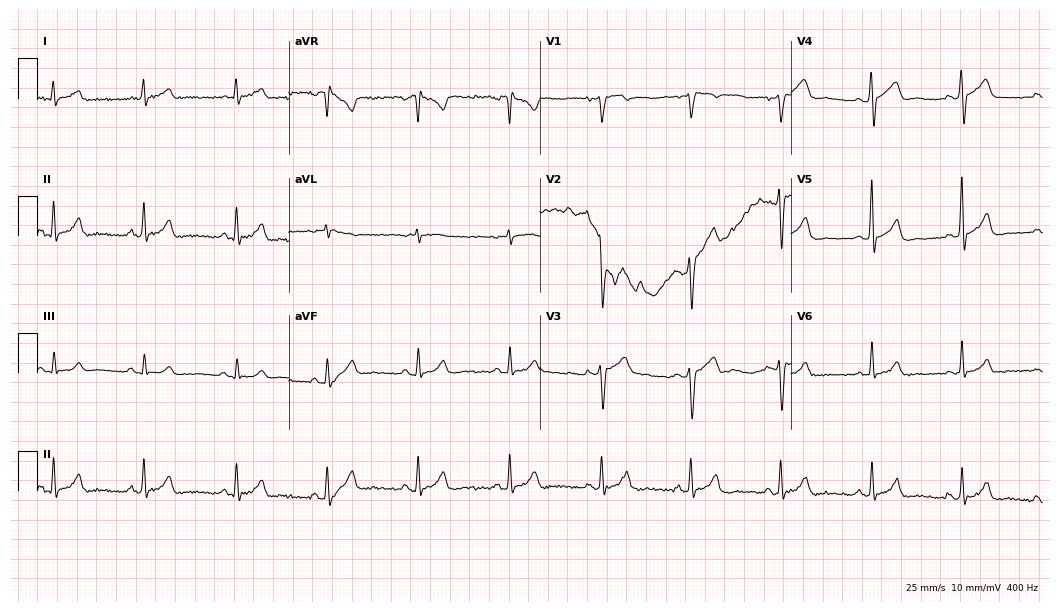
Electrocardiogram (10.2-second recording at 400 Hz), a male patient, 34 years old. Overall reading on record: normal ECG.